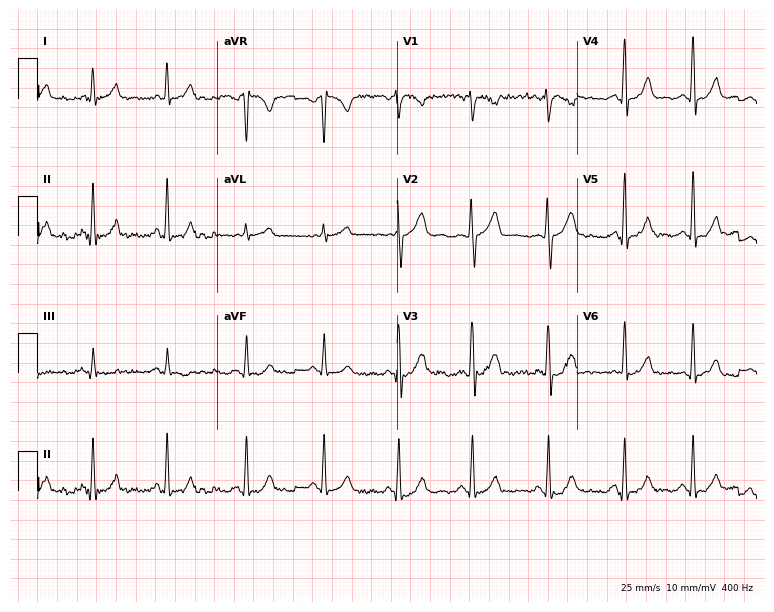
Standard 12-lead ECG recorded from a woman, 35 years old (7.3-second recording at 400 Hz). Read as a normal ECG.